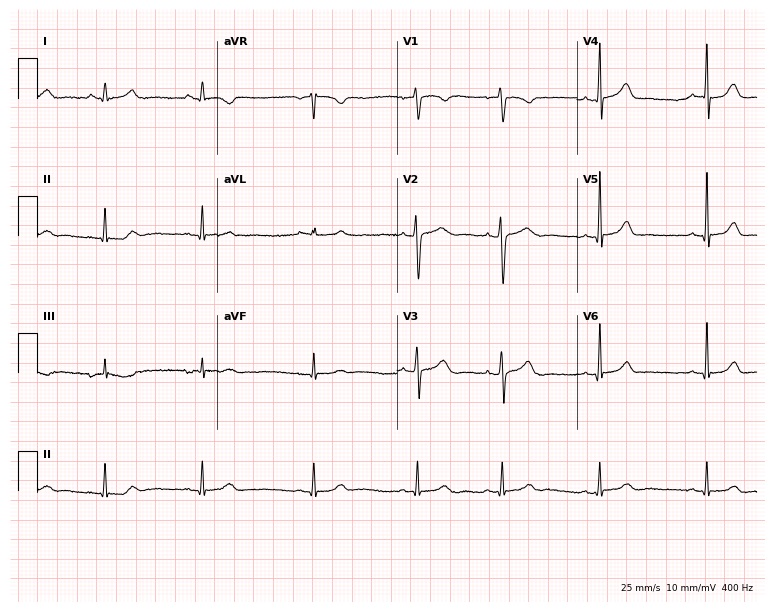
12-lead ECG from a 20-year-old female. No first-degree AV block, right bundle branch block (RBBB), left bundle branch block (LBBB), sinus bradycardia, atrial fibrillation (AF) or sinus tachycardia recorded for this tracing.